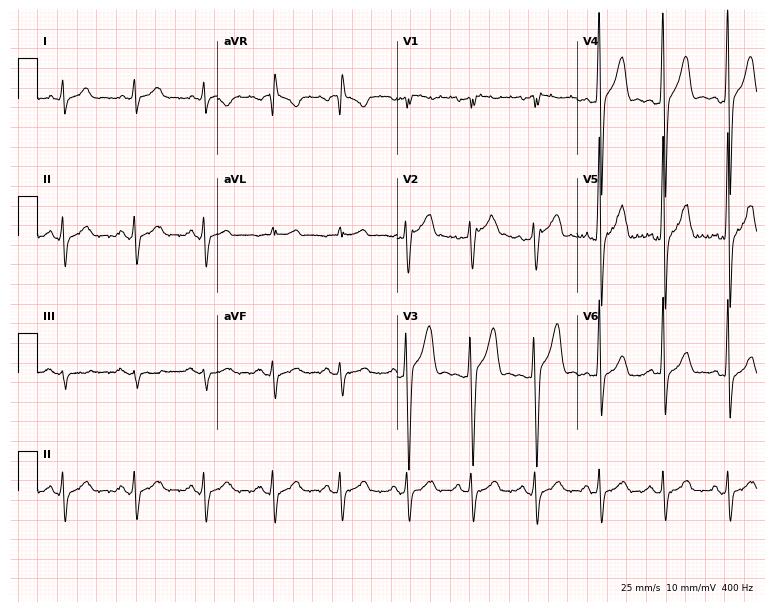
Resting 12-lead electrocardiogram. Patient: a male, 40 years old. None of these six findings is recorded: first-degree AV block, right bundle branch block, left bundle branch block, sinus bradycardia, atrial fibrillation, sinus tachycardia.